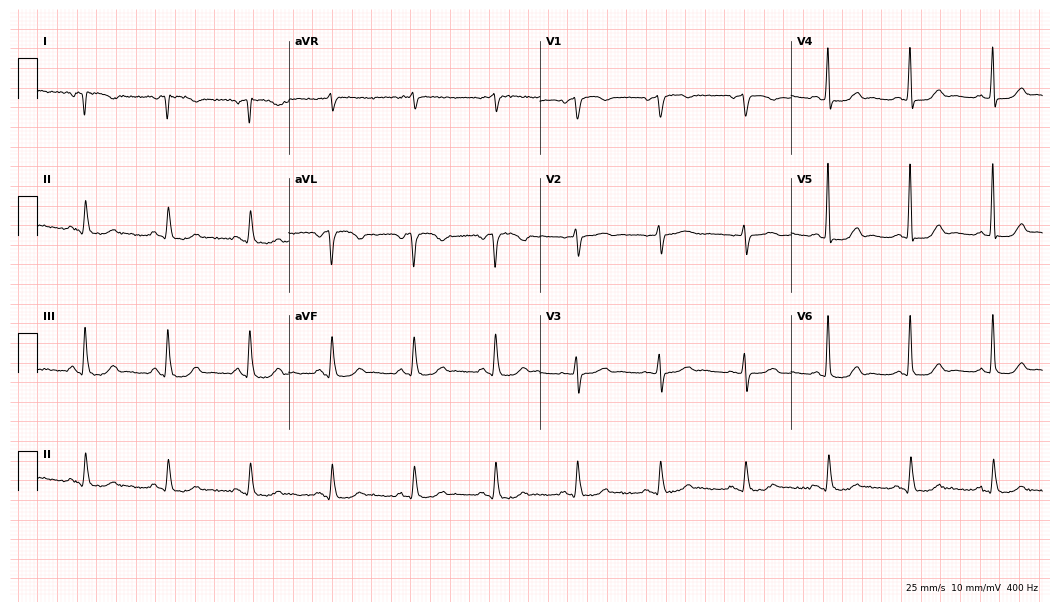
Standard 12-lead ECG recorded from a woman, 68 years old. None of these six findings is recorded: first-degree AV block, right bundle branch block, left bundle branch block, sinus bradycardia, atrial fibrillation, sinus tachycardia.